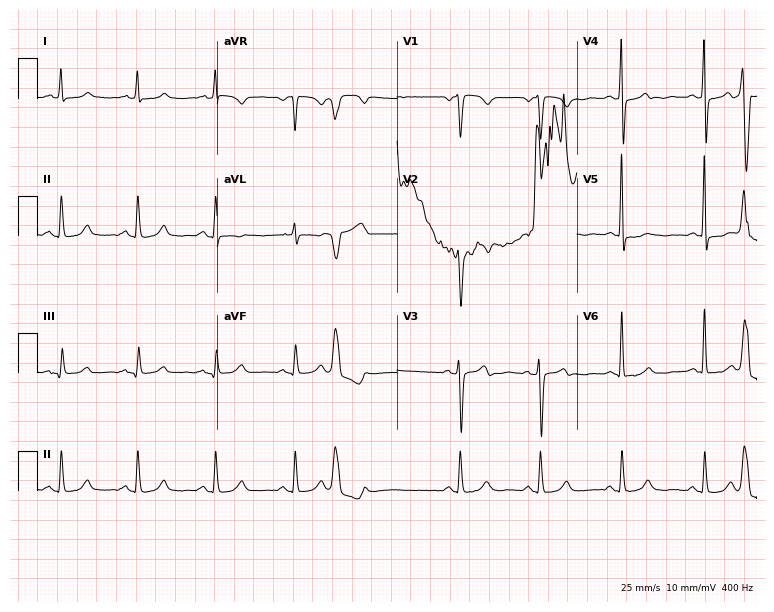
Resting 12-lead electrocardiogram. Patient: a female, 58 years old. None of these six findings is recorded: first-degree AV block, right bundle branch block, left bundle branch block, sinus bradycardia, atrial fibrillation, sinus tachycardia.